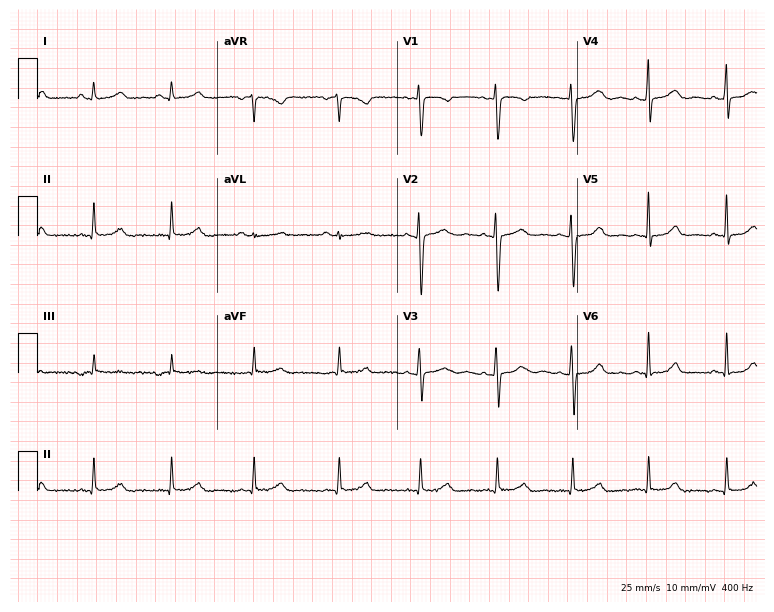
Electrocardiogram, a 22-year-old female patient. Of the six screened findings (first-degree AV block, right bundle branch block, left bundle branch block, sinus bradycardia, atrial fibrillation, sinus tachycardia), none is recorded.